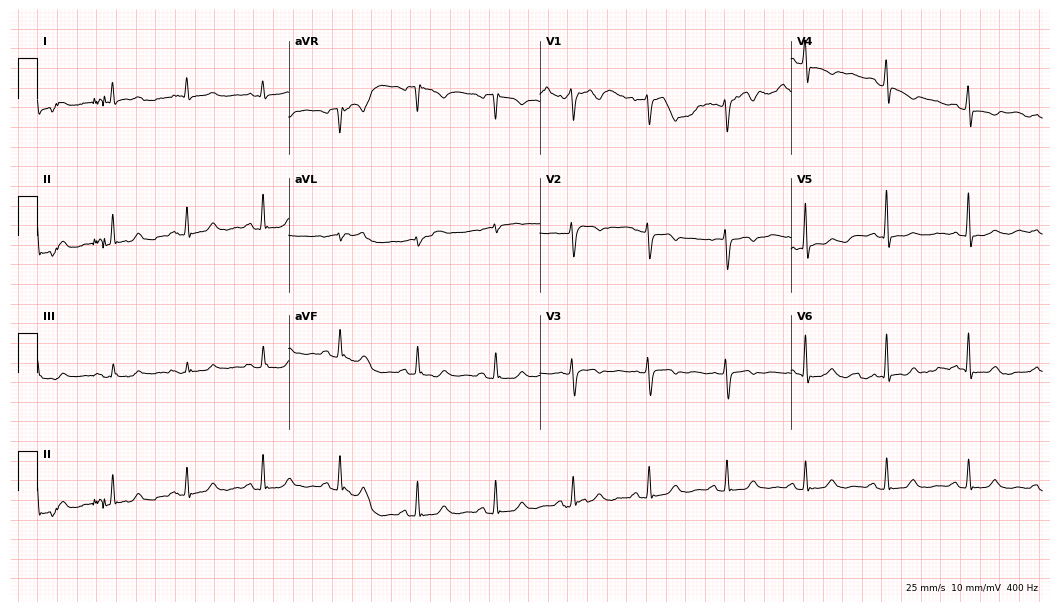
Standard 12-lead ECG recorded from a 47-year-old woman (10.2-second recording at 400 Hz). None of these six findings is recorded: first-degree AV block, right bundle branch block, left bundle branch block, sinus bradycardia, atrial fibrillation, sinus tachycardia. Findings outside these six are not listed.